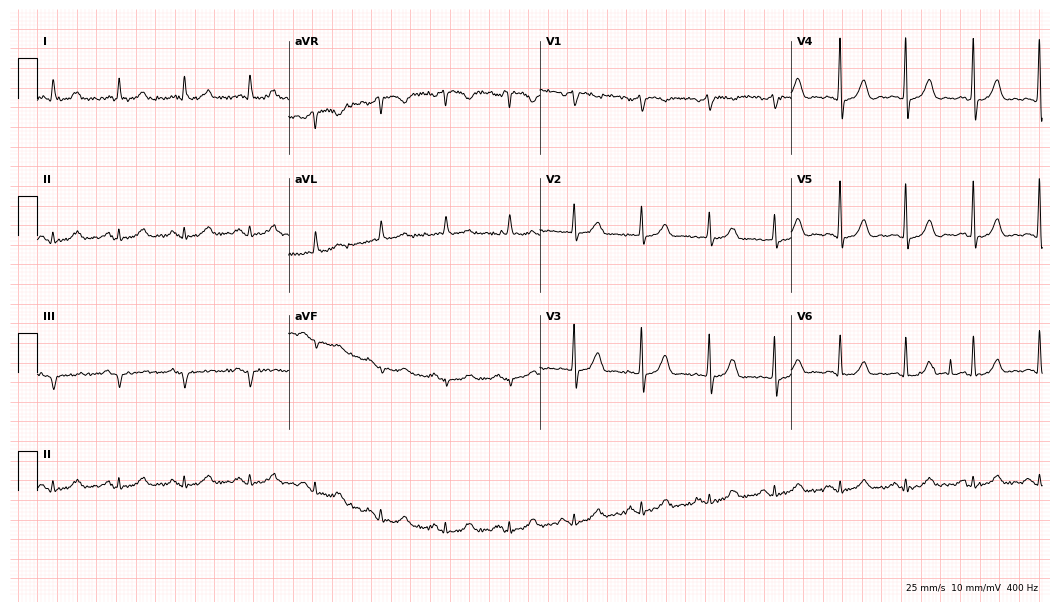
ECG (10.2-second recording at 400 Hz) — a man, 56 years old. Labelled as a normal ECG.